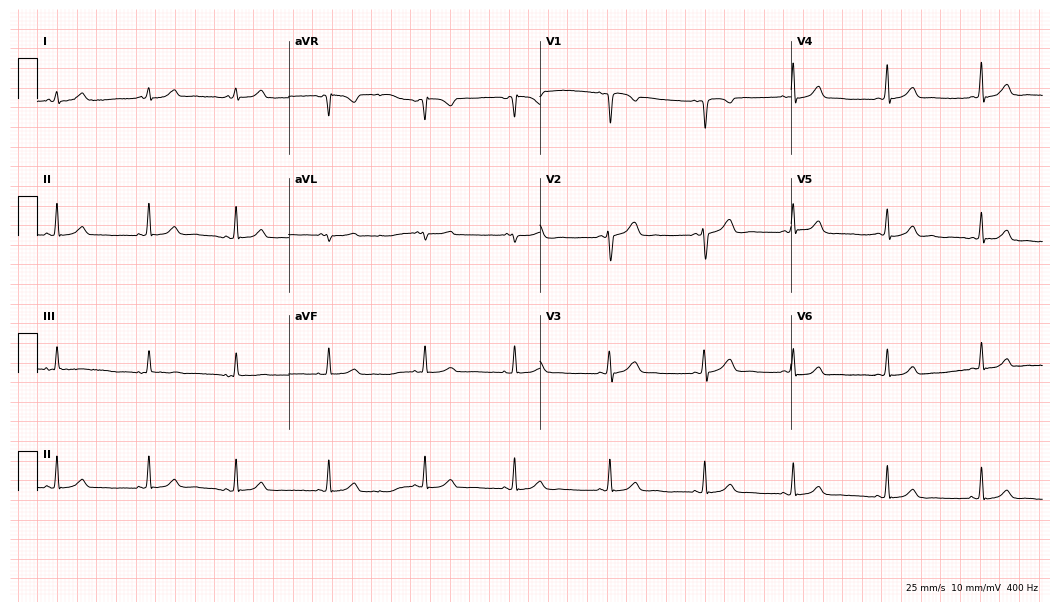
Standard 12-lead ECG recorded from a woman, 18 years old (10.2-second recording at 400 Hz). Read as a normal ECG.